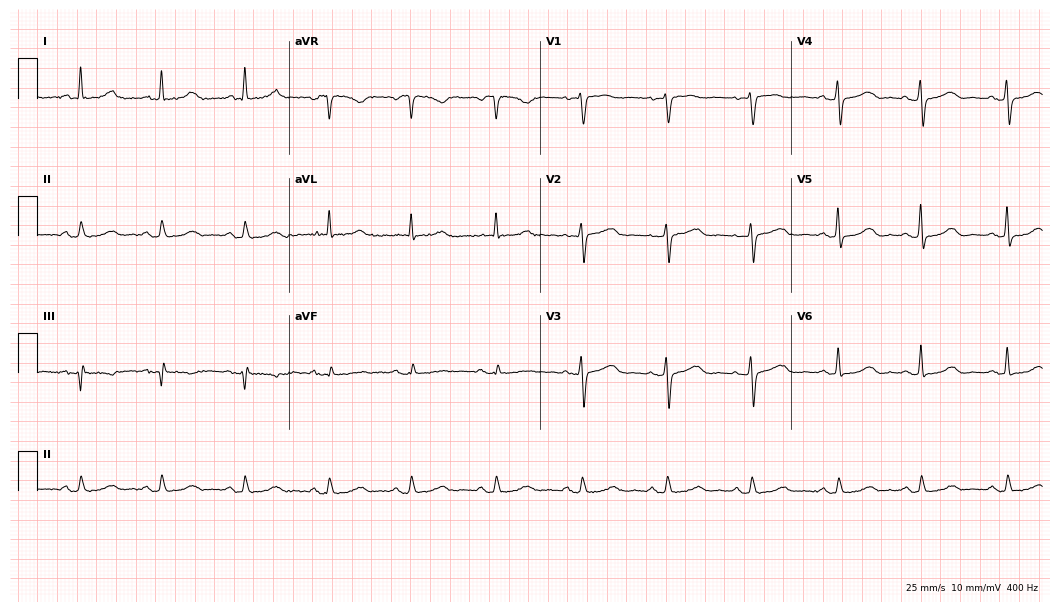
12-lead ECG from a man, 67 years old. Screened for six findings — first-degree AV block, right bundle branch block, left bundle branch block, sinus bradycardia, atrial fibrillation, sinus tachycardia — none is recorded. Other findings, if any, are not listed.